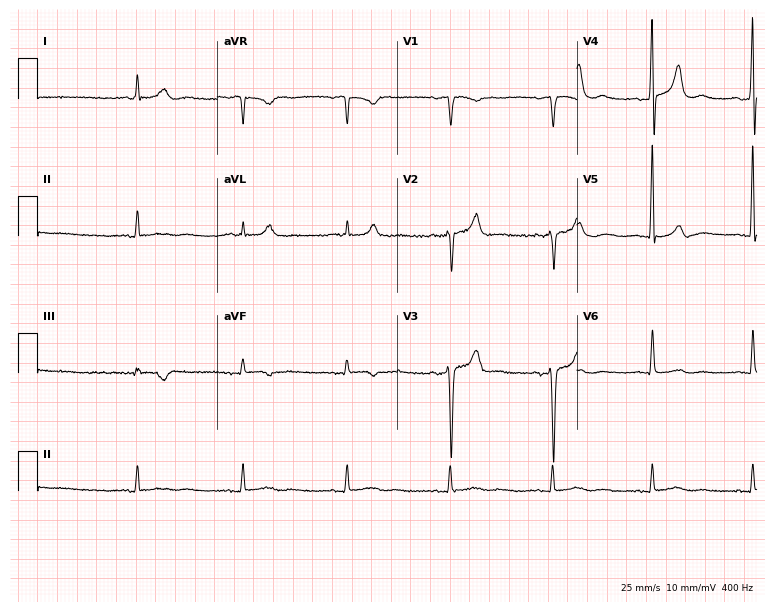
12-lead ECG (7.3-second recording at 400 Hz) from a man, 77 years old. Screened for six findings — first-degree AV block, right bundle branch block, left bundle branch block, sinus bradycardia, atrial fibrillation, sinus tachycardia — none is recorded. Only these six findings were labelled.